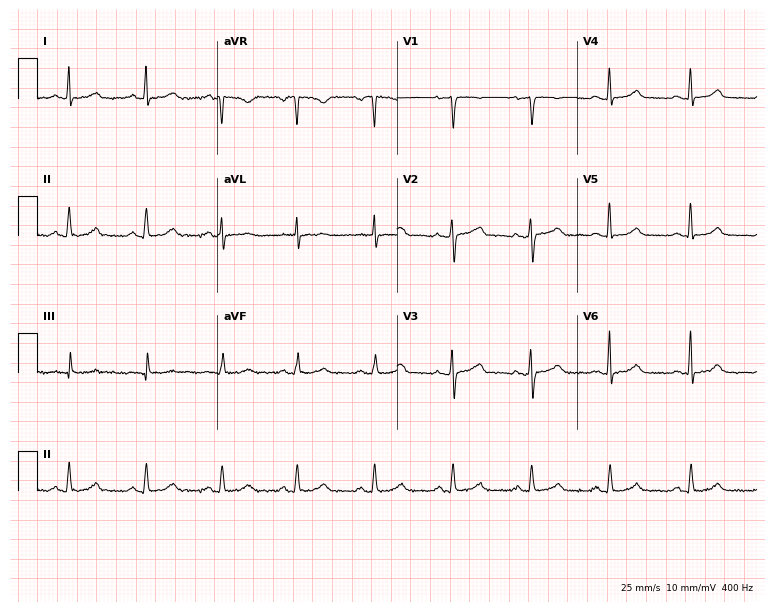
12-lead ECG (7.3-second recording at 400 Hz) from a 46-year-old woman. Labelled as a normal ECG.